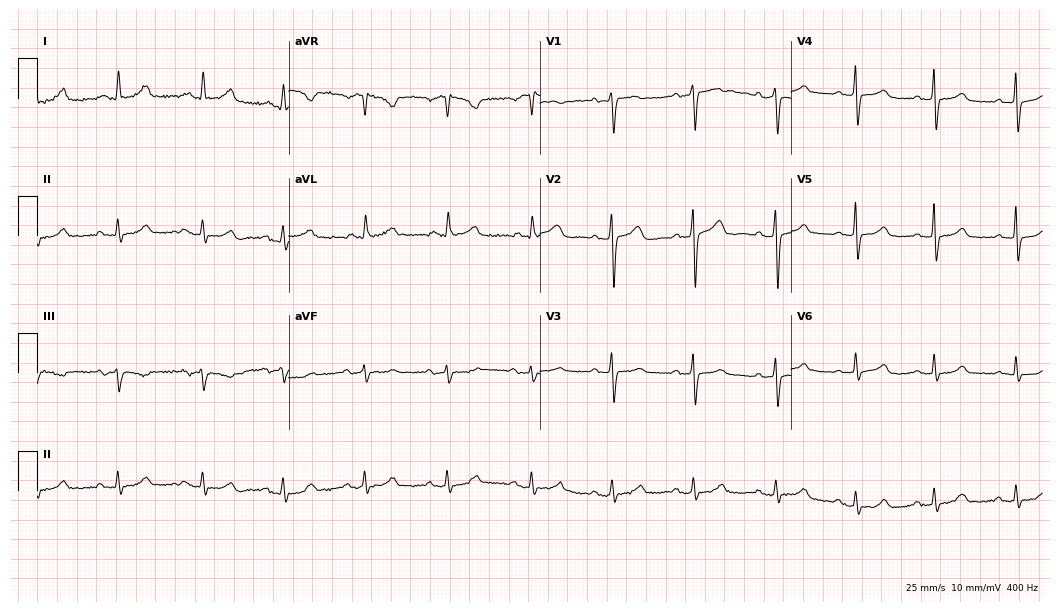
Standard 12-lead ECG recorded from a 76-year-old female patient. Read as a normal ECG.